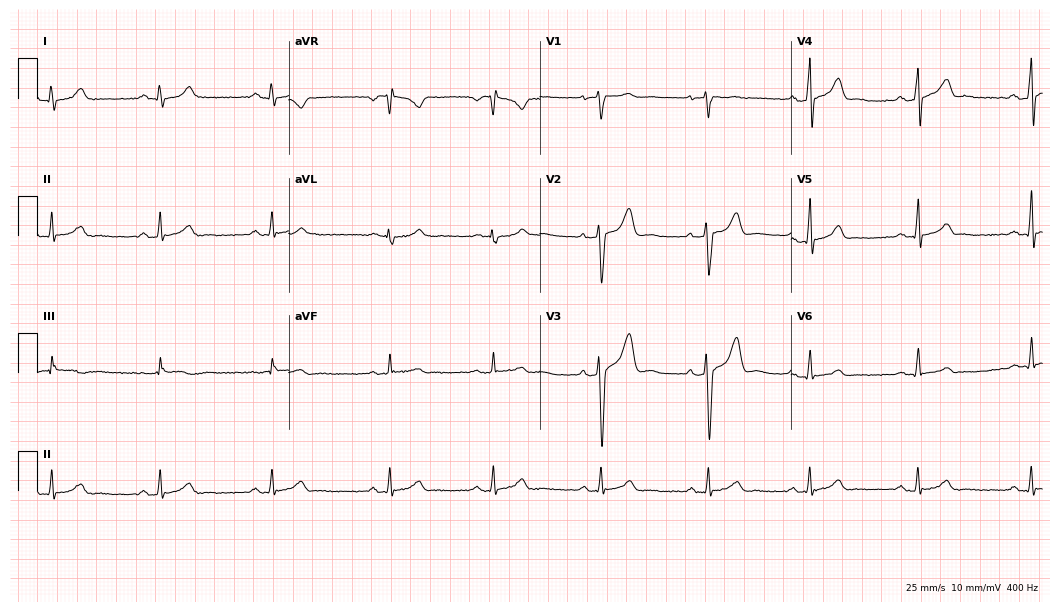
ECG (10.2-second recording at 400 Hz) — a 43-year-old male. Labelled as a normal ECG.